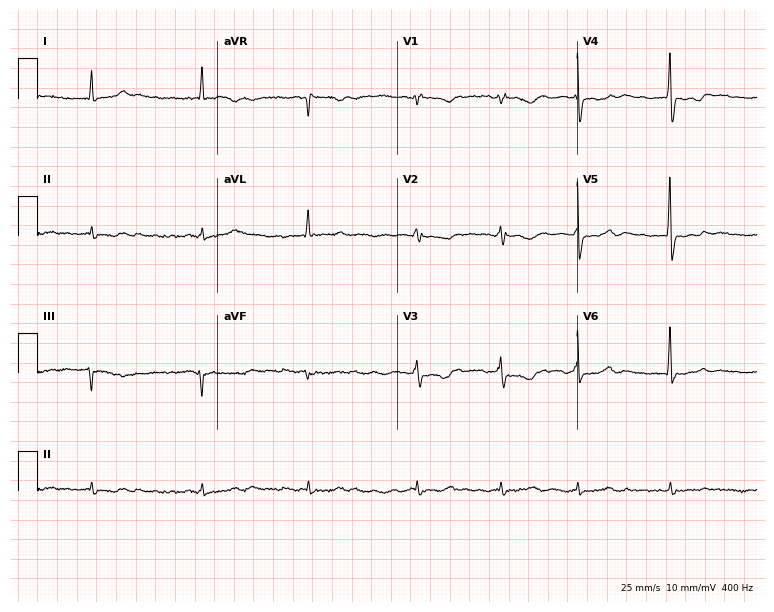
12-lead ECG (7.3-second recording at 400 Hz) from a 73-year-old woman. Findings include atrial fibrillation.